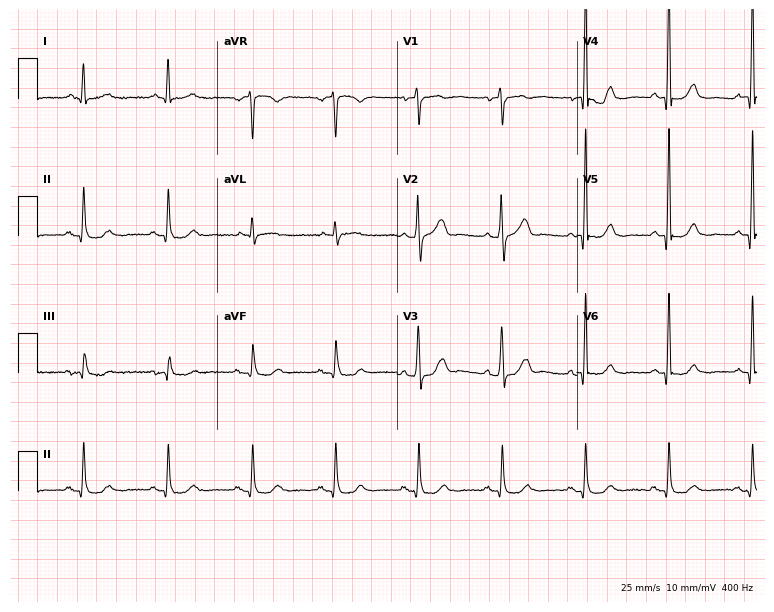
12-lead ECG from a 60-year-old male. Labelled as a normal ECG.